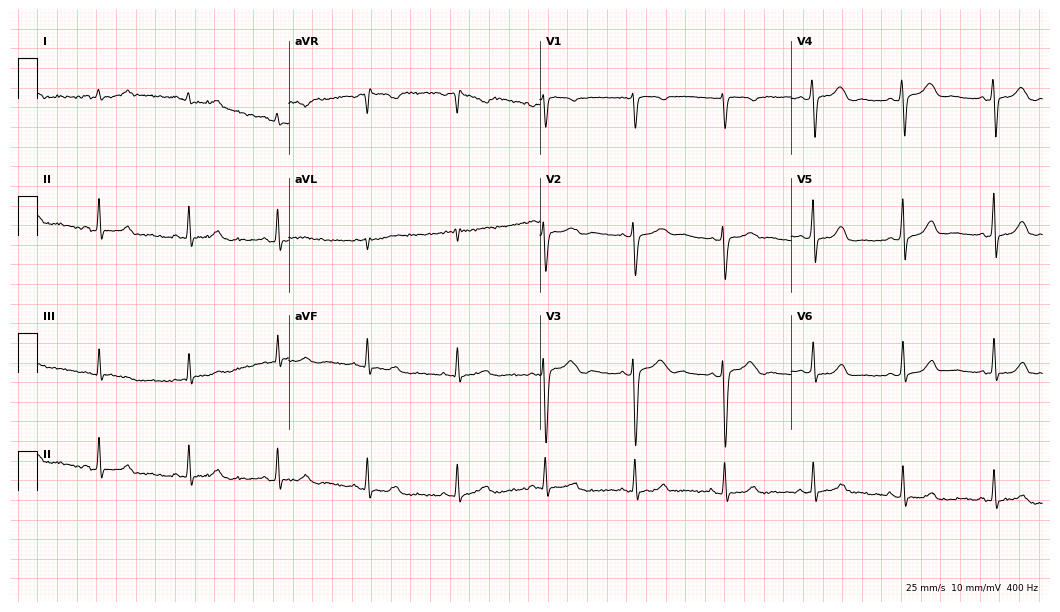
Standard 12-lead ECG recorded from a female patient, 41 years old. Read as a normal ECG.